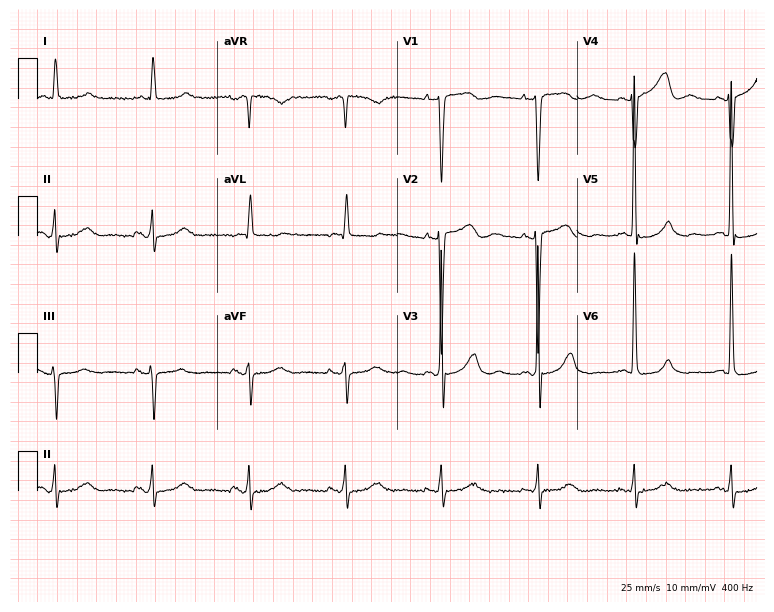
Resting 12-lead electrocardiogram. Patient: a female, 83 years old. None of these six findings is recorded: first-degree AV block, right bundle branch block, left bundle branch block, sinus bradycardia, atrial fibrillation, sinus tachycardia.